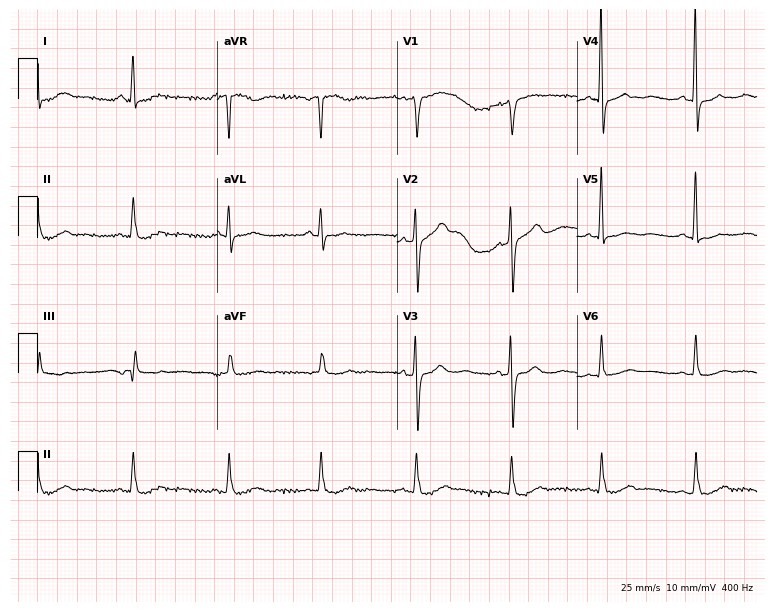
ECG — a female patient, 68 years old. Labelled as a normal ECG.